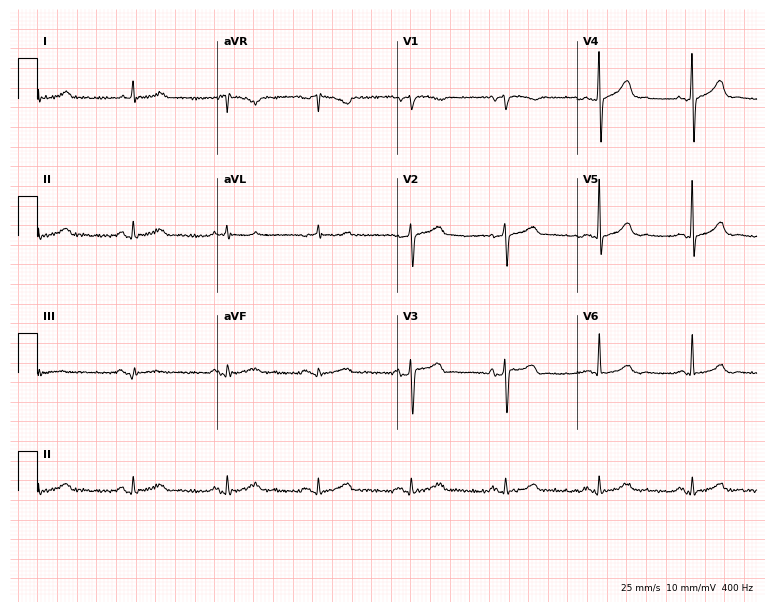
Electrocardiogram, a 68-year-old man. Overall reading on record: normal ECG.